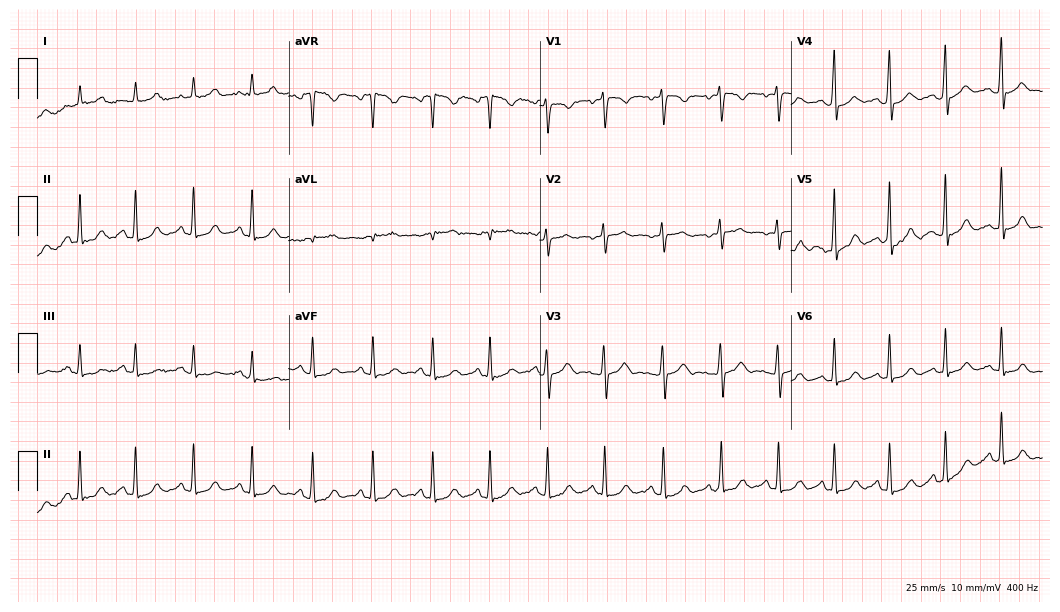
12-lead ECG from a woman, 25 years old. Findings include sinus tachycardia (a sinus rate of 100 beats per minute or more).